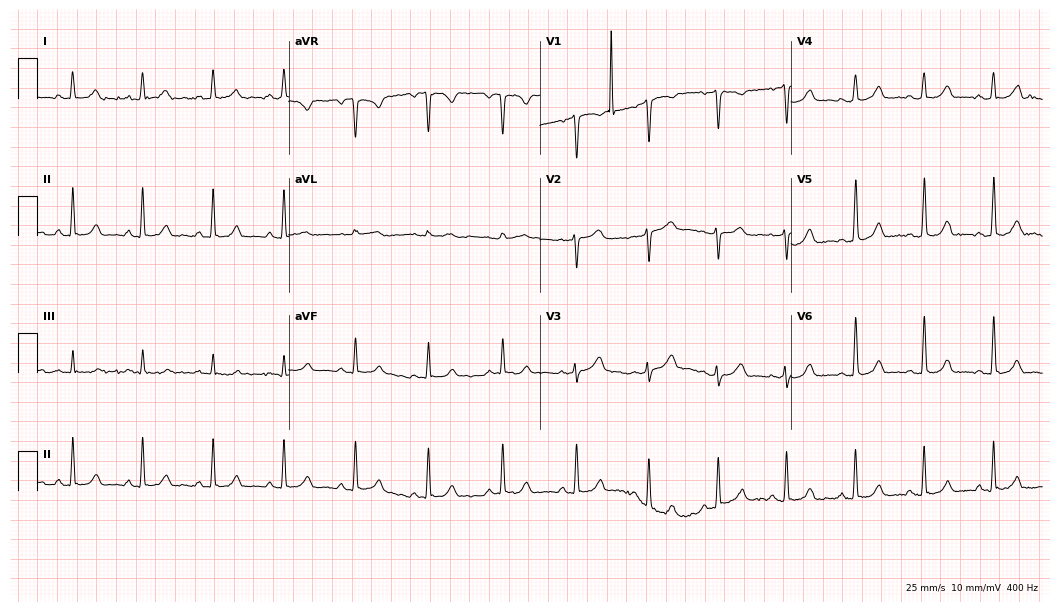
Standard 12-lead ECG recorded from a 40-year-old woman (10.2-second recording at 400 Hz). Read as a normal ECG.